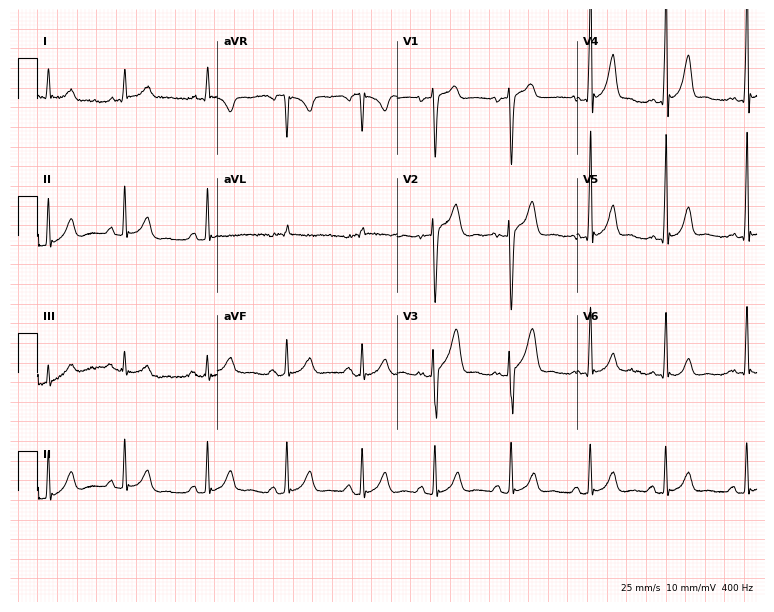
Resting 12-lead electrocardiogram. Patient: a male, 20 years old. Read as a normal ECG.